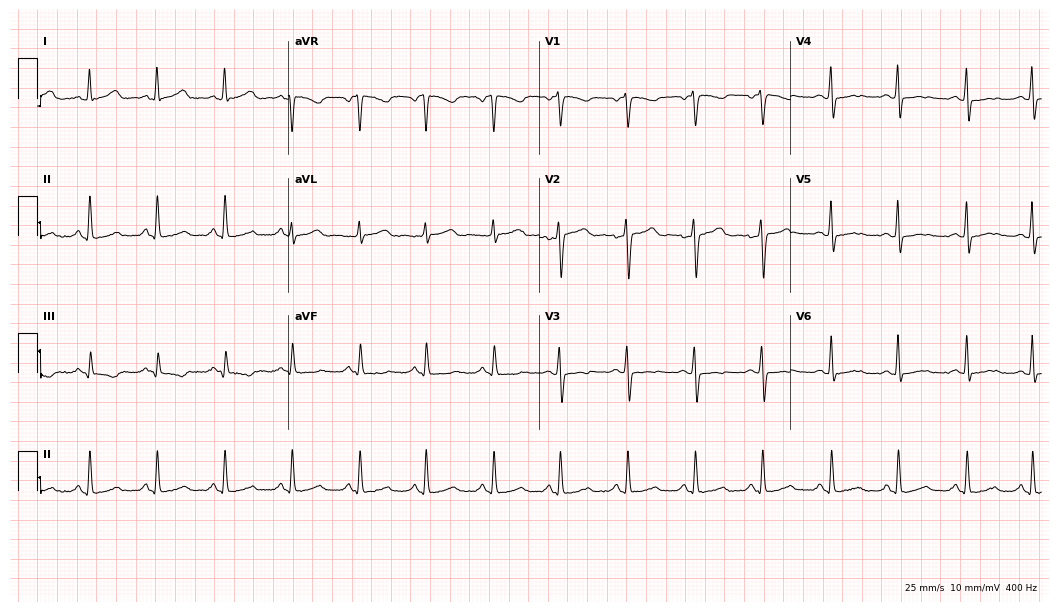
Resting 12-lead electrocardiogram. Patient: a 39-year-old female. Read as a normal ECG.